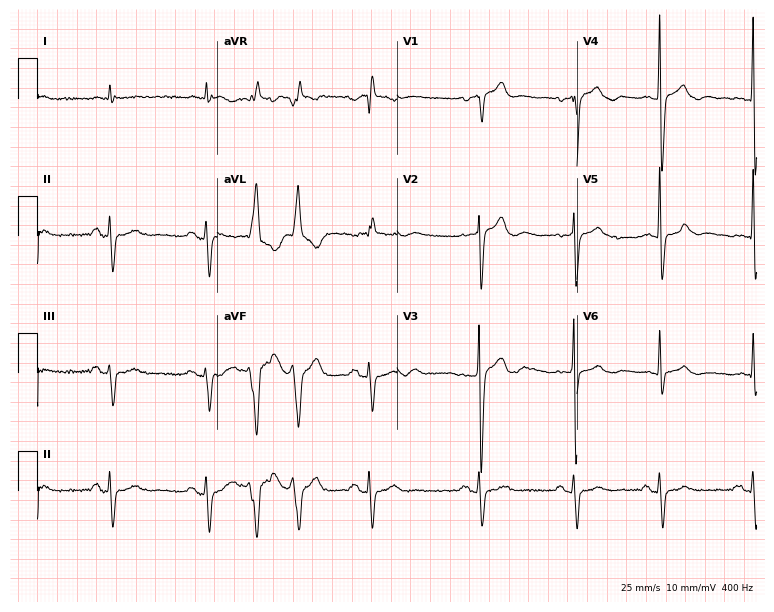
12-lead ECG from a female patient, 84 years old (7.3-second recording at 400 Hz). No first-degree AV block, right bundle branch block, left bundle branch block, sinus bradycardia, atrial fibrillation or sinus tachycardia recorded for this tracing.